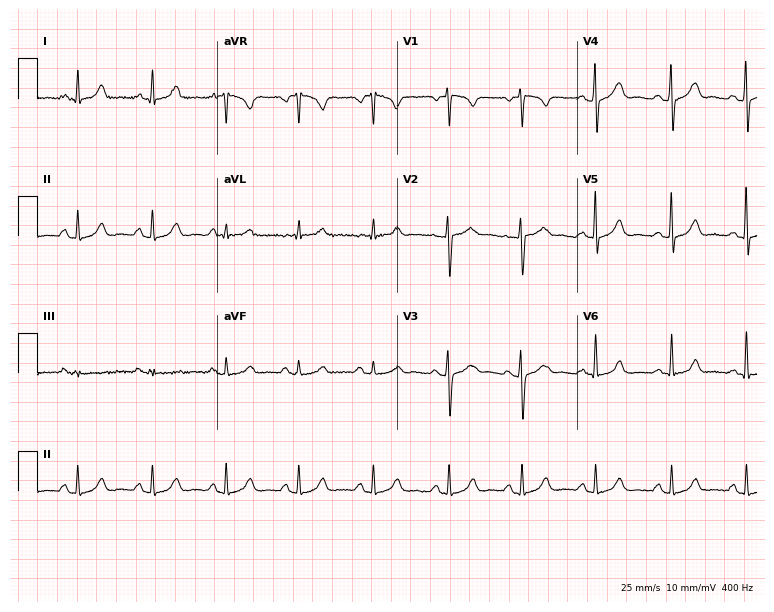
Electrocardiogram (7.3-second recording at 400 Hz), a 38-year-old female patient. Of the six screened findings (first-degree AV block, right bundle branch block, left bundle branch block, sinus bradycardia, atrial fibrillation, sinus tachycardia), none is recorded.